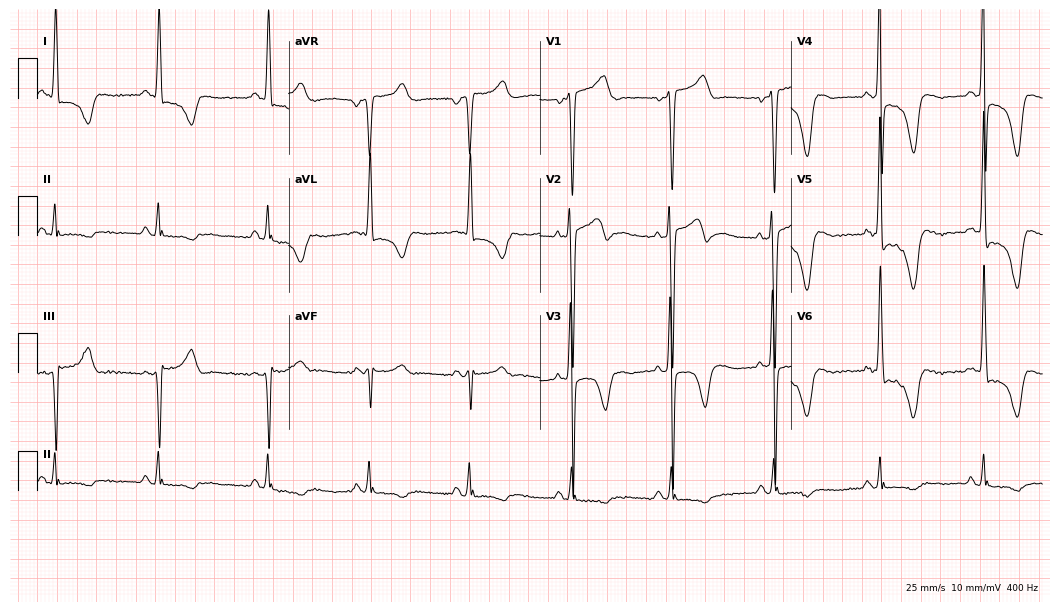
Electrocardiogram (10.2-second recording at 400 Hz), a male patient, 41 years old. Of the six screened findings (first-degree AV block, right bundle branch block, left bundle branch block, sinus bradycardia, atrial fibrillation, sinus tachycardia), none is recorded.